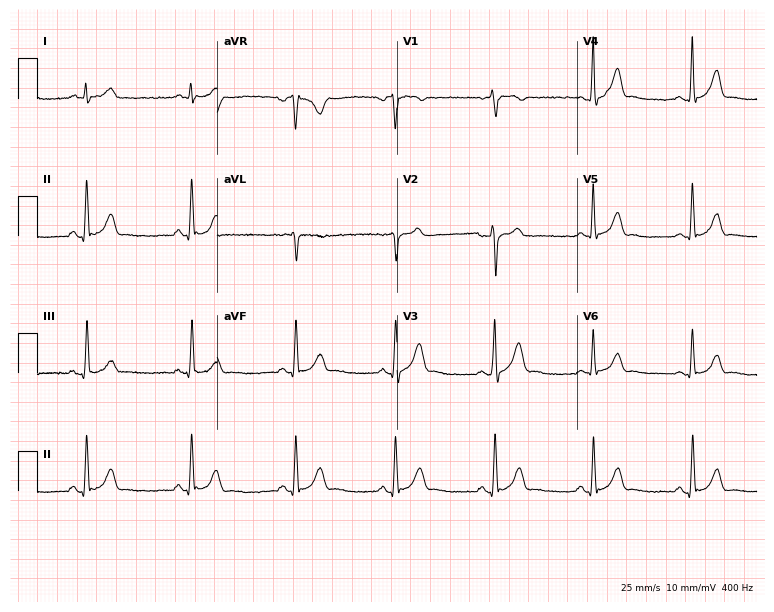
12-lead ECG from a man, 31 years old (7.3-second recording at 400 Hz). Recorded interpretation: within normal limits.